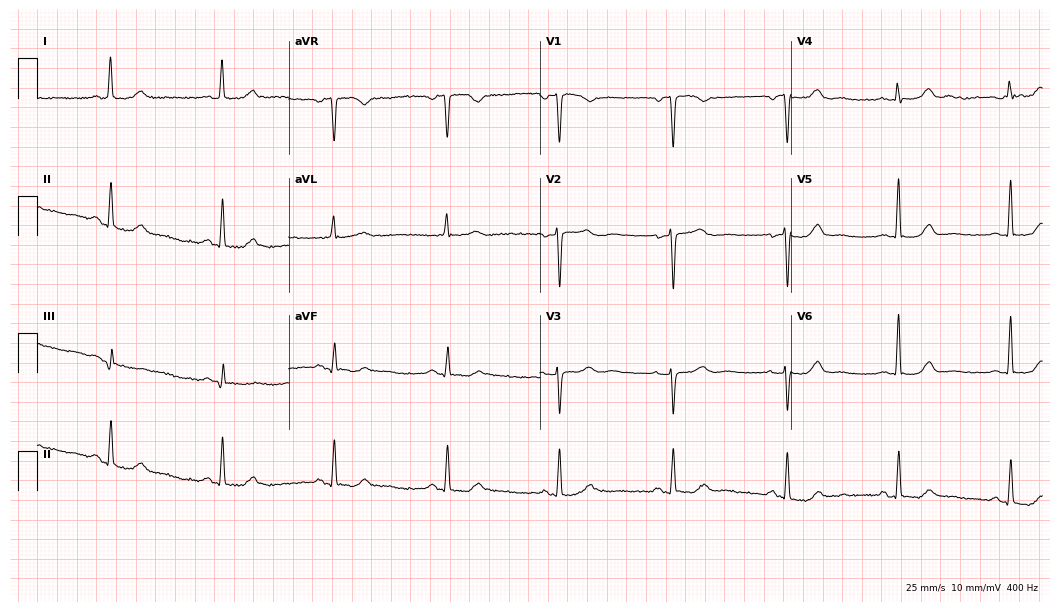
Electrocardiogram, a woman, 67 years old. Of the six screened findings (first-degree AV block, right bundle branch block, left bundle branch block, sinus bradycardia, atrial fibrillation, sinus tachycardia), none is recorded.